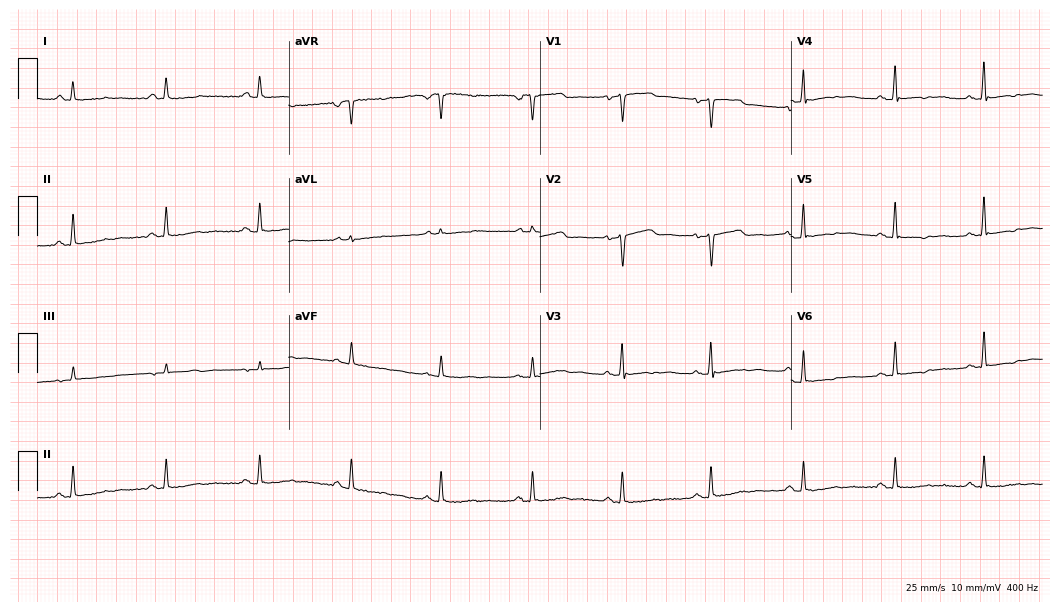
Electrocardiogram (10.2-second recording at 400 Hz), a 52-year-old woman. Of the six screened findings (first-degree AV block, right bundle branch block (RBBB), left bundle branch block (LBBB), sinus bradycardia, atrial fibrillation (AF), sinus tachycardia), none is recorded. Only these six findings were labelled.